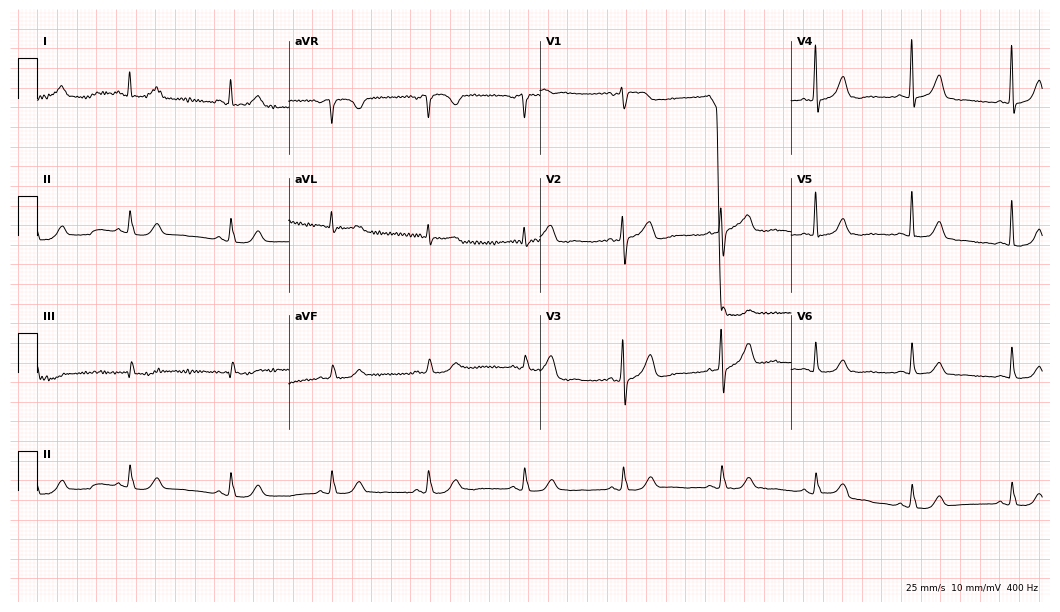
Resting 12-lead electrocardiogram. Patient: a female, 83 years old. Read as a normal ECG.